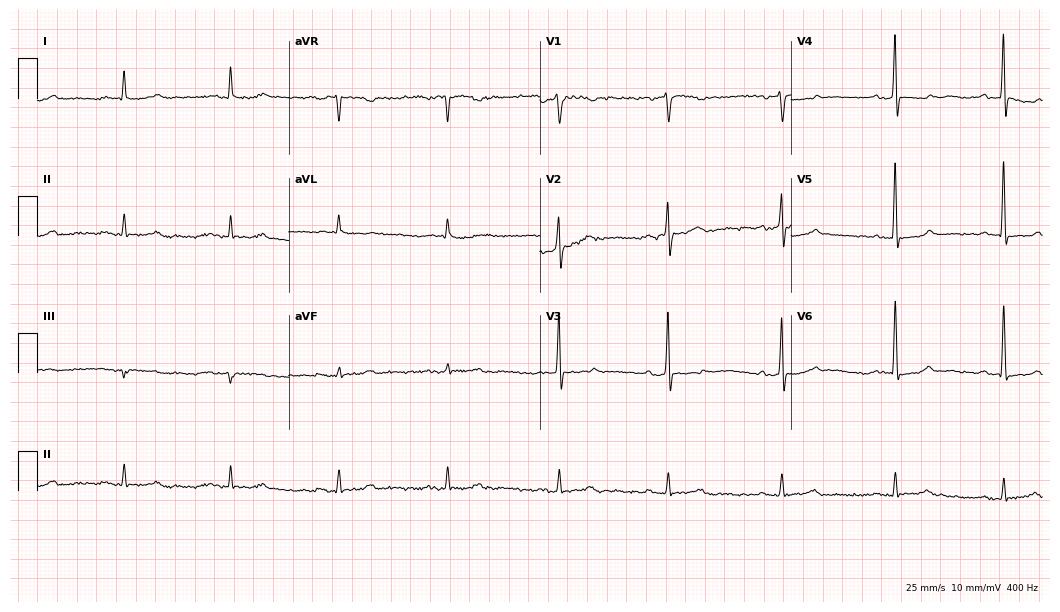
Electrocardiogram (10.2-second recording at 400 Hz), a 65-year-old male patient. Of the six screened findings (first-degree AV block, right bundle branch block, left bundle branch block, sinus bradycardia, atrial fibrillation, sinus tachycardia), none is recorded. Only these six findings were labelled.